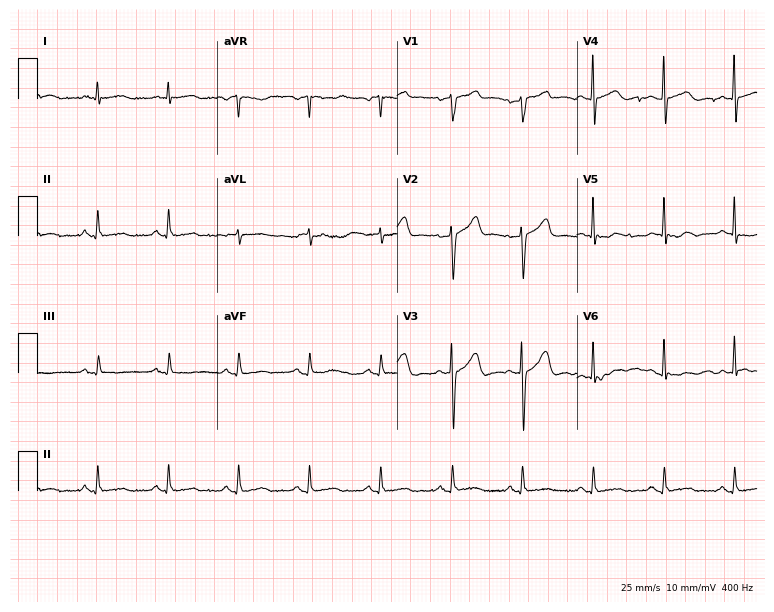
12-lead ECG from a 78-year-old male. No first-degree AV block, right bundle branch block (RBBB), left bundle branch block (LBBB), sinus bradycardia, atrial fibrillation (AF) or sinus tachycardia recorded for this tracing. Other findings, if any, are not listed.